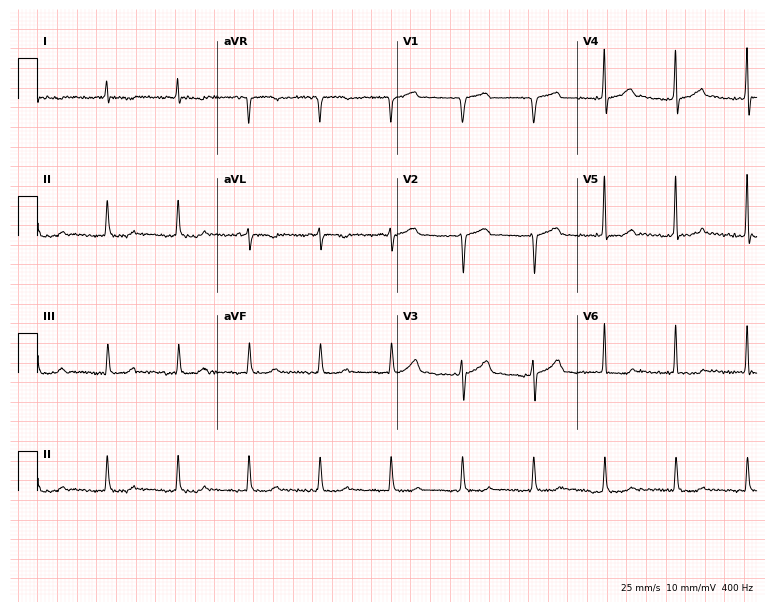
Standard 12-lead ECG recorded from a male, 85 years old (7.3-second recording at 400 Hz). Read as a normal ECG.